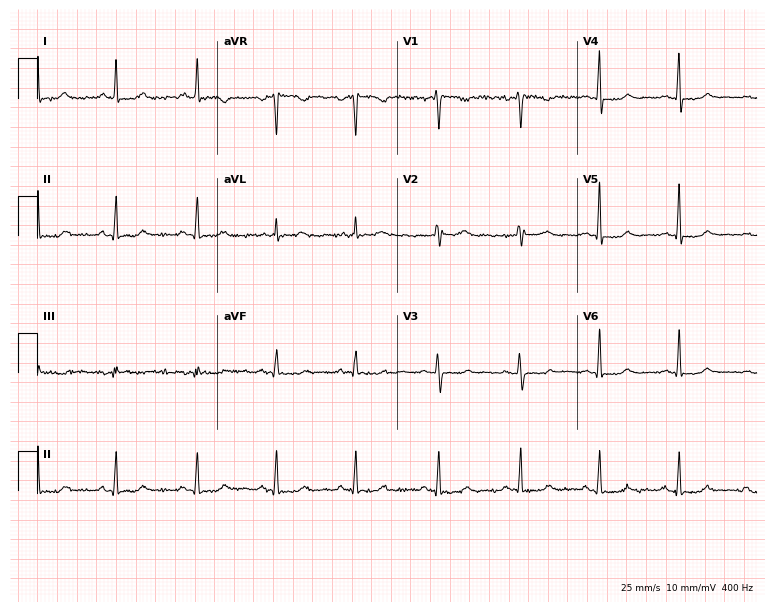
Electrocardiogram, a woman, 42 years old. Of the six screened findings (first-degree AV block, right bundle branch block, left bundle branch block, sinus bradycardia, atrial fibrillation, sinus tachycardia), none is recorded.